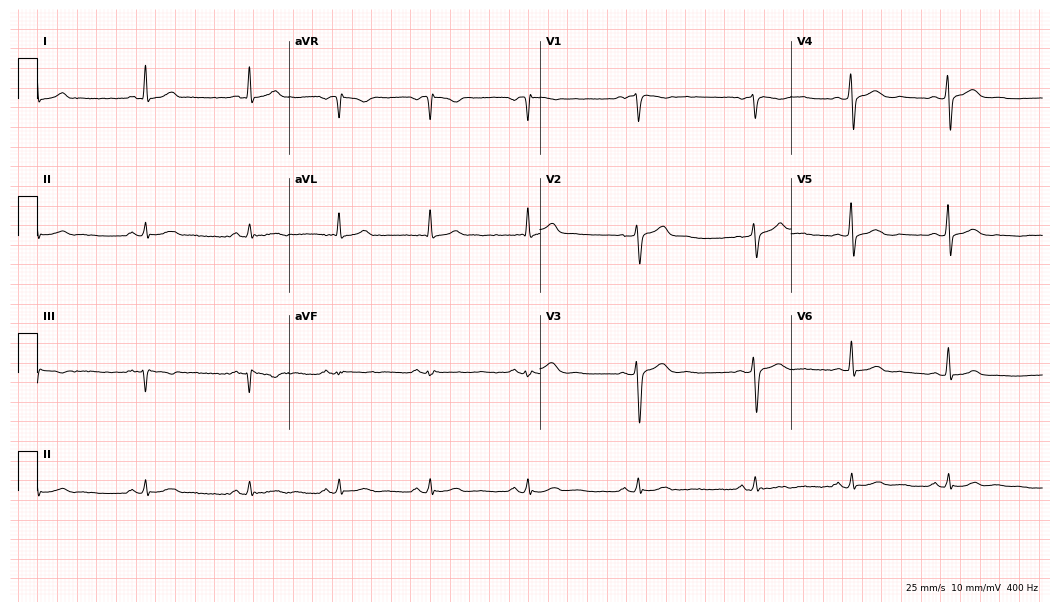
ECG (10.2-second recording at 400 Hz) — a man, 35 years old. Labelled as a normal ECG.